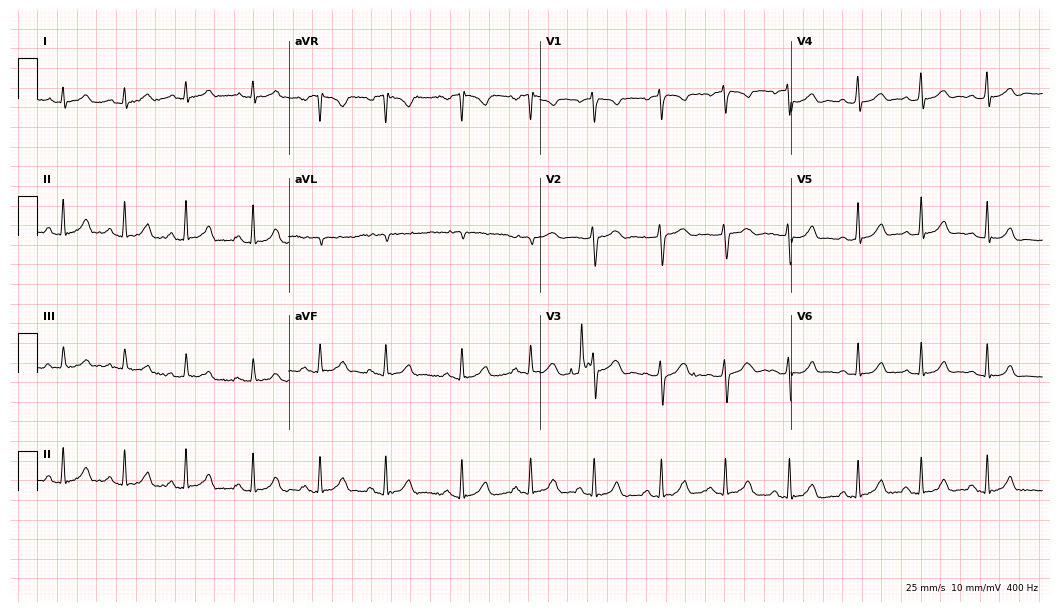
12-lead ECG from a female, 17 years old. Recorded interpretation: within normal limits.